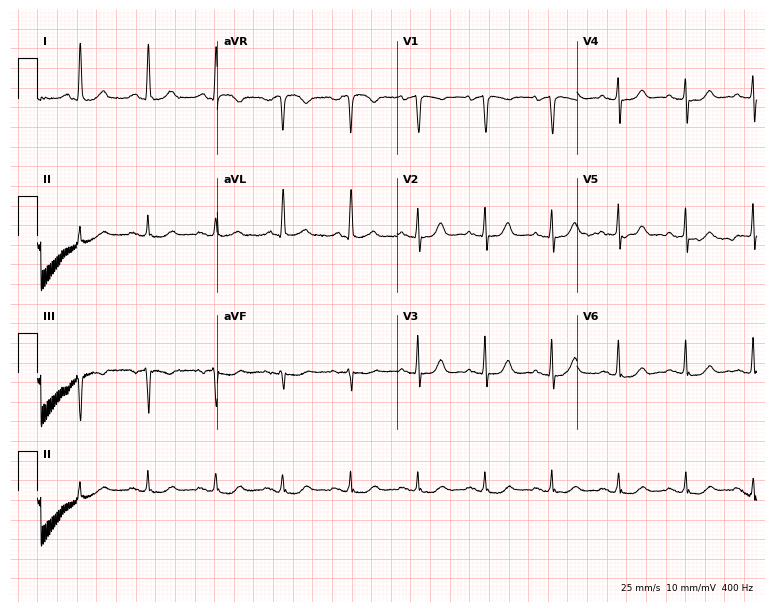
Standard 12-lead ECG recorded from an 85-year-old woman (7.3-second recording at 400 Hz). None of these six findings is recorded: first-degree AV block, right bundle branch block, left bundle branch block, sinus bradycardia, atrial fibrillation, sinus tachycardia.